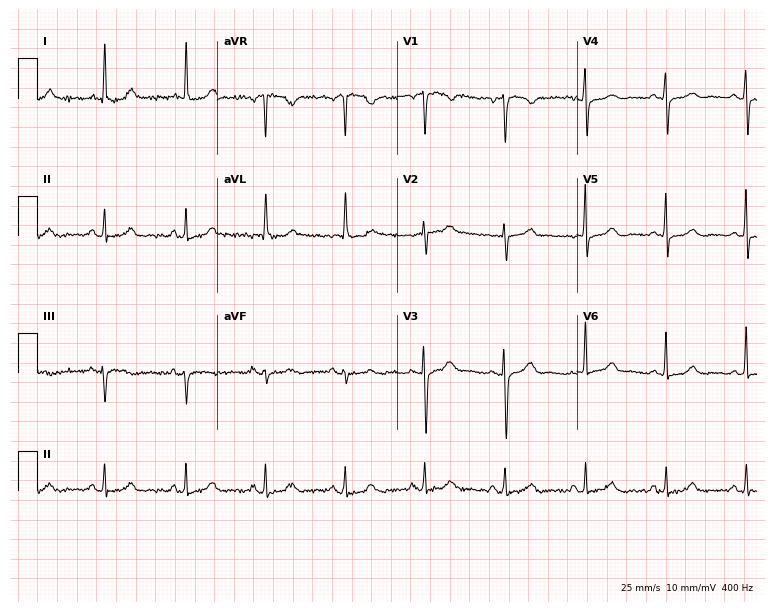
12-lead ECG (7.3-second recording at 400 Hz) from a woman, 75 years old. Screened for six findings — first-degree AV block, right bundle branch block (RBBB), left bundle branch block (LBBB), sinus bradycardia, atrial fibrillation (AF), sinus tachycardia — none is recorded.